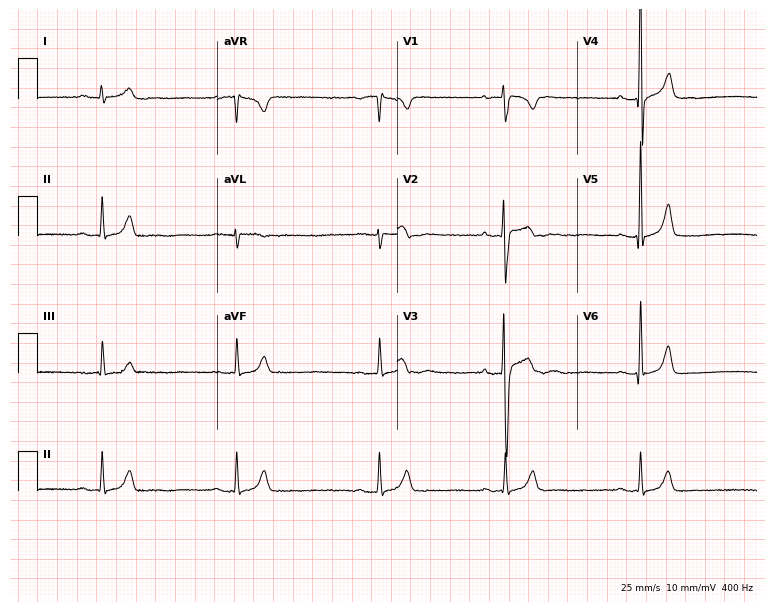
Electrocardiogram, a male, 20 years old. Of the six screened findings (first-degree AV block, right bundle branch block, left bundle branch block, sinus bradycardia, atrial fibrillation, sinus tachycardia), none is recorded.